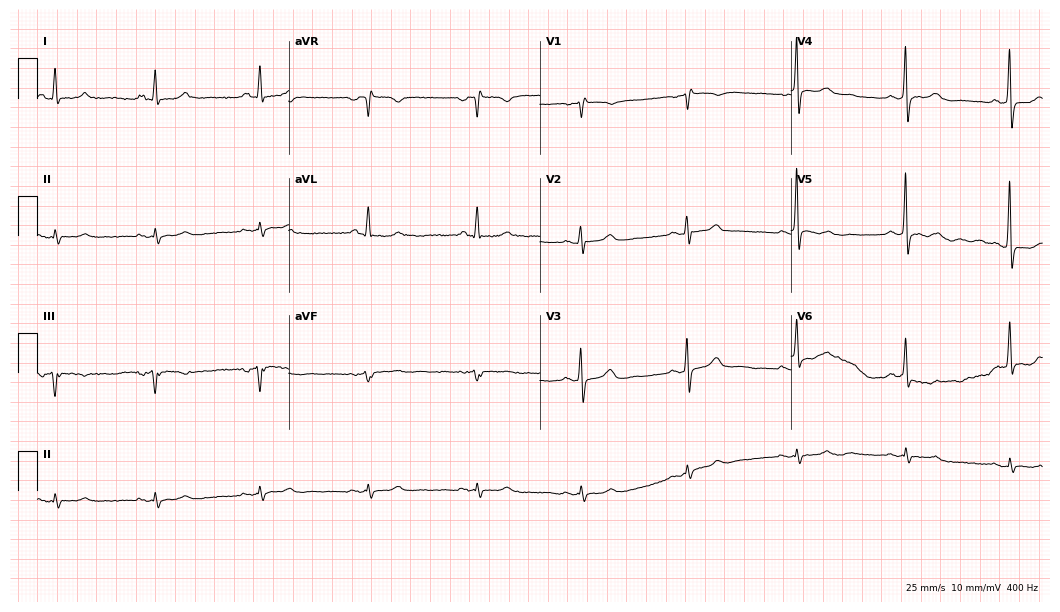
Resting 12-lead electrocardiogram (10.2-second recording at 400 Hz). Patient: a male, 49 years old. None of these six findings is recorded: first-degree AV block, right bundle branch block (RBBB), left bundle branch block (LBBB), sinus bradycardia, atrial fibrillation (AF), sinus tachycardia.